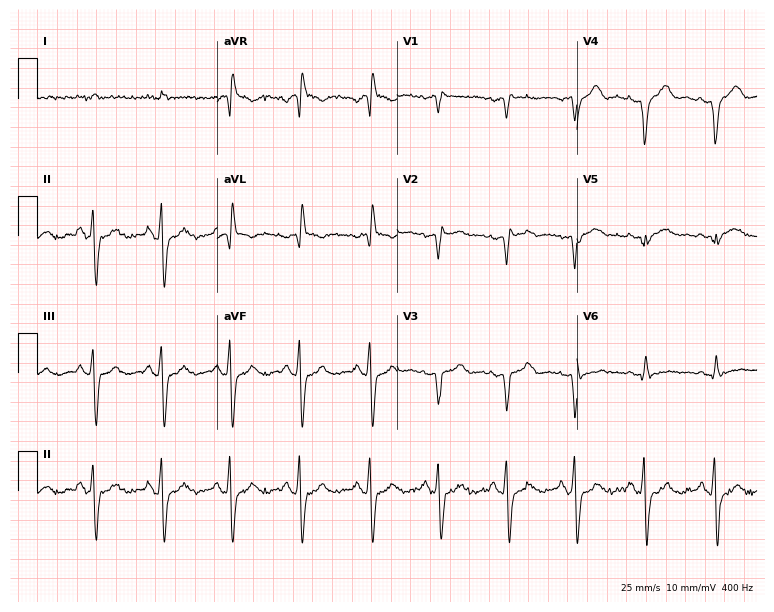
12-lead ECG from a male, 82 years old. No first-degree AV block, right bundle branch block (RBBB), left bundle branch block (LBBB), sinus bradycardia, atrial fibrillation (AF) or sinus tachycardia recorded for this tracing. Findings outside these six are not listed.